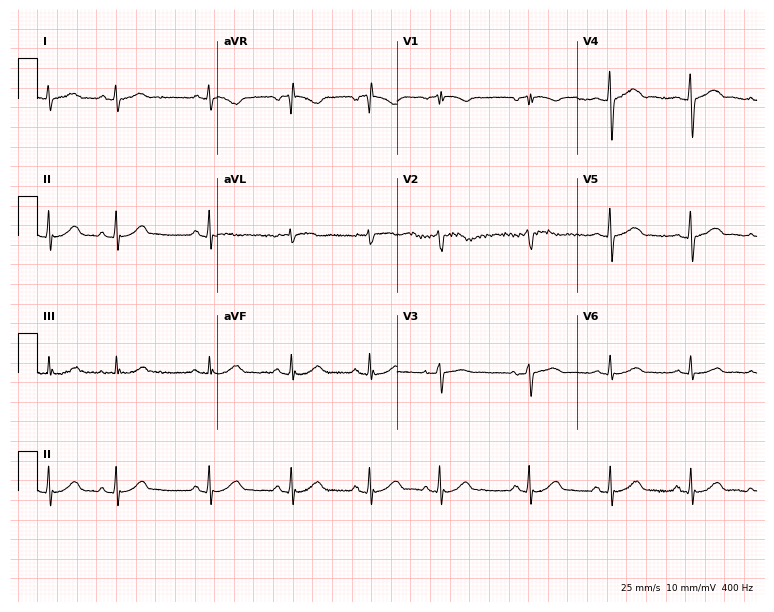
Standard 12-lead ECG recorded from a 70-year-old female. Read as a normal ECG.